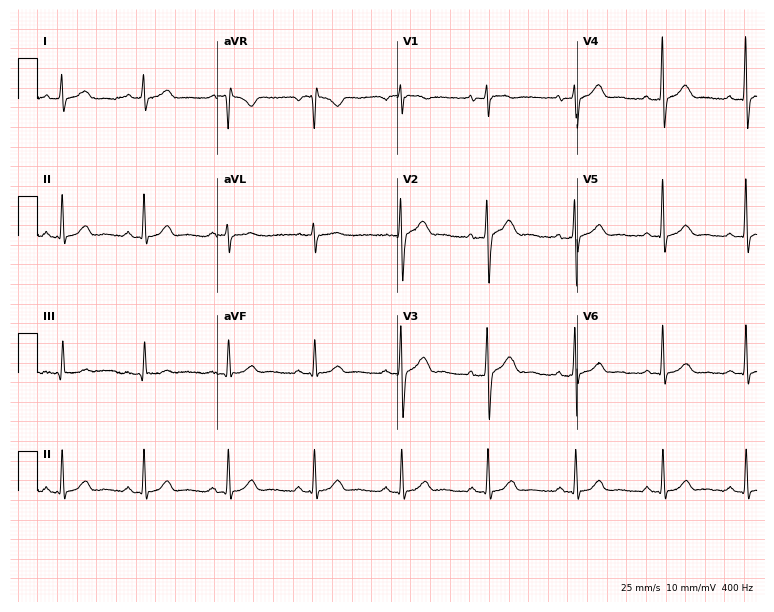
Standard 12-lead ECG recorded from a 43-year-old male (7.3-second recording at 400 Hz). None of these six findings is recorded: first-degree AV block, right bundle branch block (RBBB), left bundle branch block (LBBB), sinus bradycardia, atrial fibrillation (AF), sinus tachycardia.